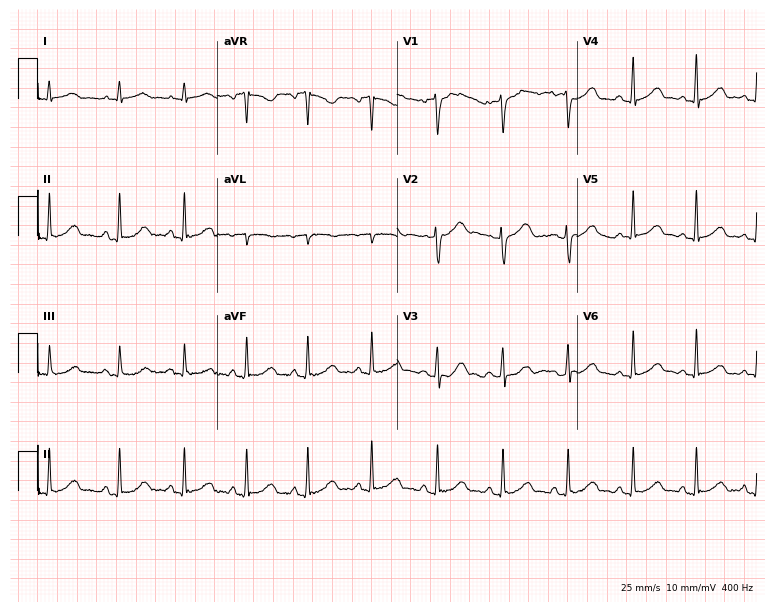
ECG (7.3-second recording at 400 Hz) — a woman, 39 years old. Labelled as a normal ECG.